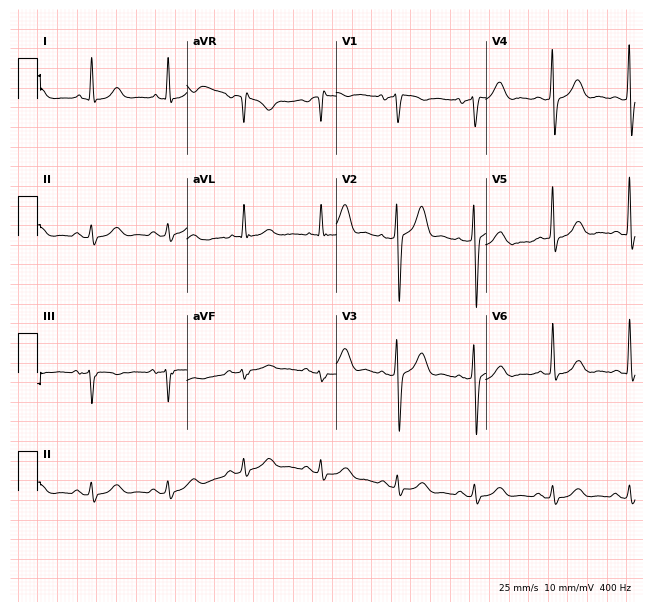
ECG (6.1-second recording at 400 Hz) — a man, 73 years old. Screened for six findings — first-degree AV block, right bundle branch block, left bundle branch block, sinus bradycardia, atrial fibrillation, sinus tachycardia — none is recorded.